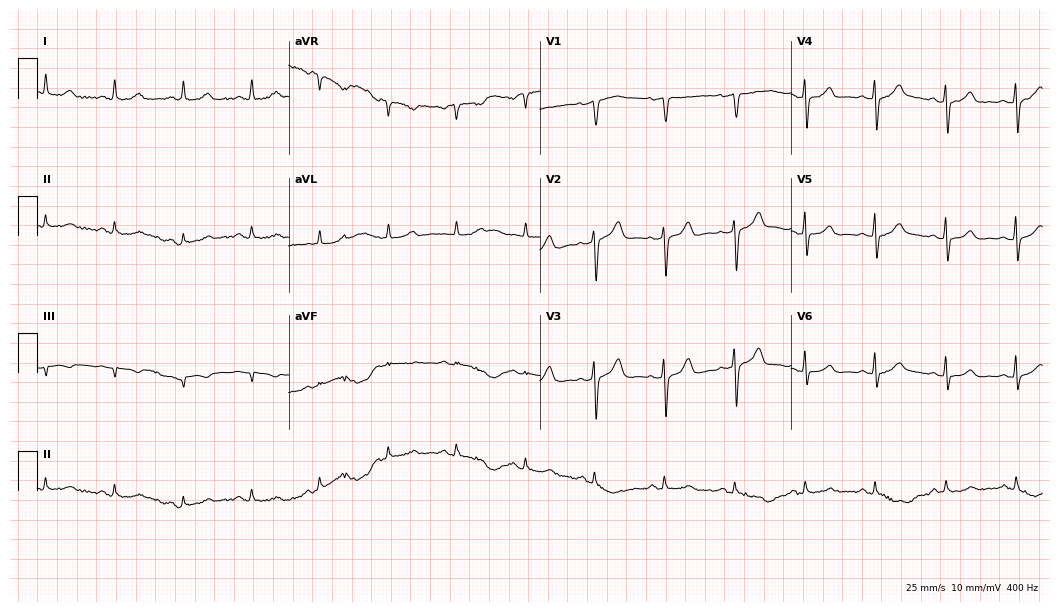
Electrocardiogram, a 61-year-old female. Overall reading on record: normal ECG.